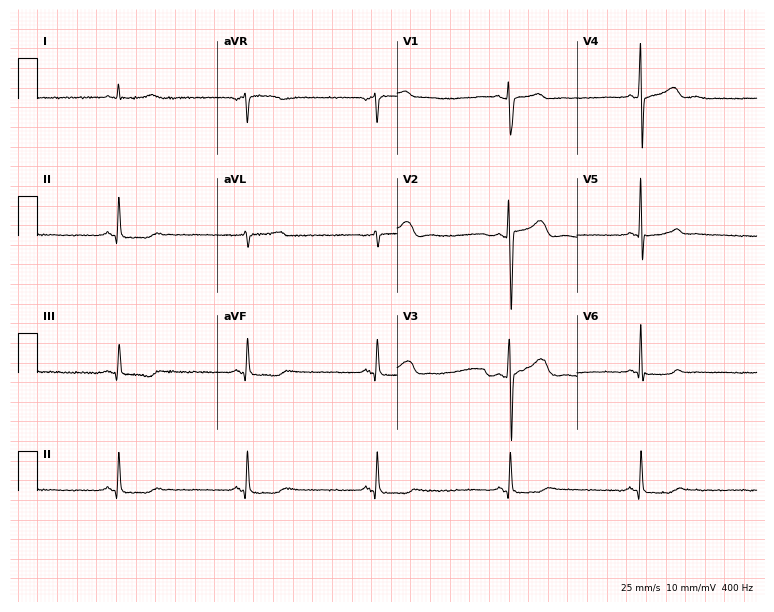
ECG (7.3-second recording at 400 Hz) — a 67-year-old male. Screened for six findings — first-degree AV block, right bundle branch block, left bundle branch block, sinus bradycardia, atrial fibrillation, sinus tachycardia — none is recorded.